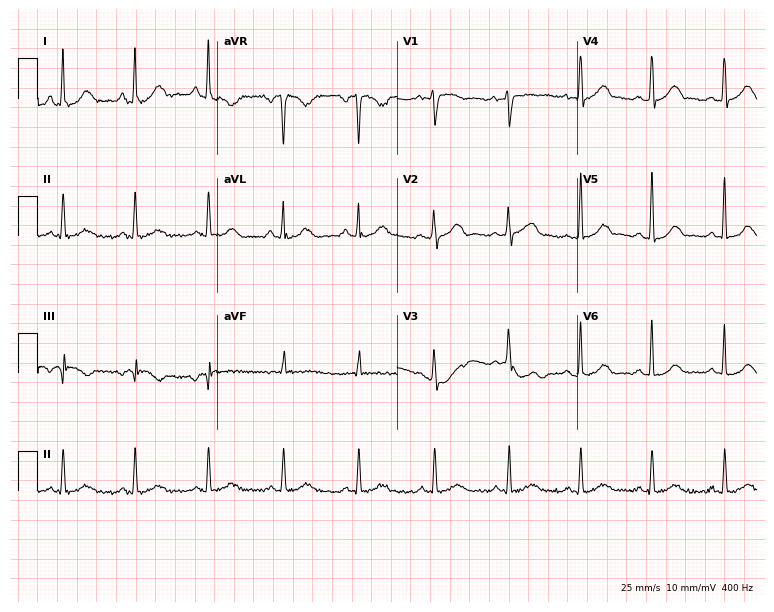
ECG (7.3-second recording at 400 Hz) — a female patient, 48 years old. Screened for six findings — first-degree AV block, right bundle branch block, left bundle branch block, sinus bradycardia, atrial fibrillation, sinus tachycardia — none is recorded.